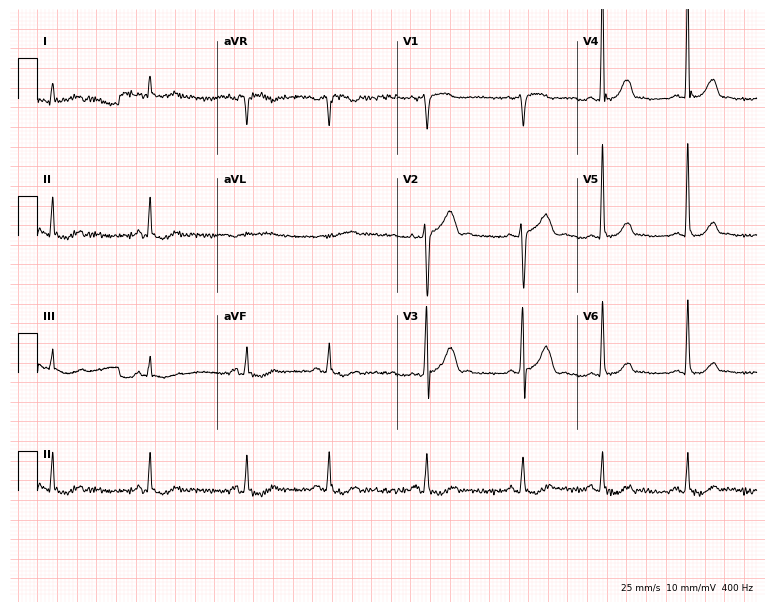
Resting 12-lead electrocardiogram. Patient: a male, 75 years old. None of these six findings is recorded: first-degree AV block, right bundle branch block, left bundle branch block, sinus bradycardia, atrial fibrillation, sinus tachycardia.